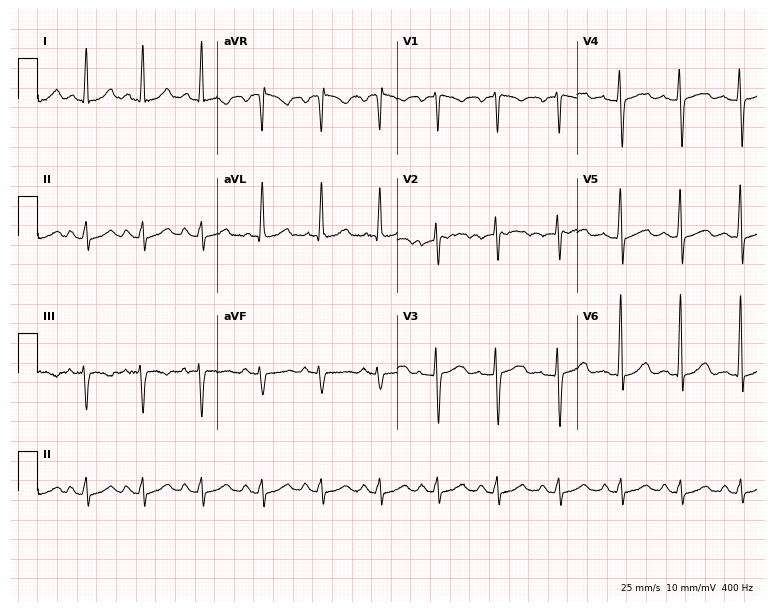
Resting 12-lead electrocardiogram. Patient: a female, 42 years old. None of these six findings is recorded: first-degree AV block, right bundle branch block (RBBB), left bundle branch block (LBBB), sinus bradycardia, atrial fibrillation (AF), sinus tachycardia.